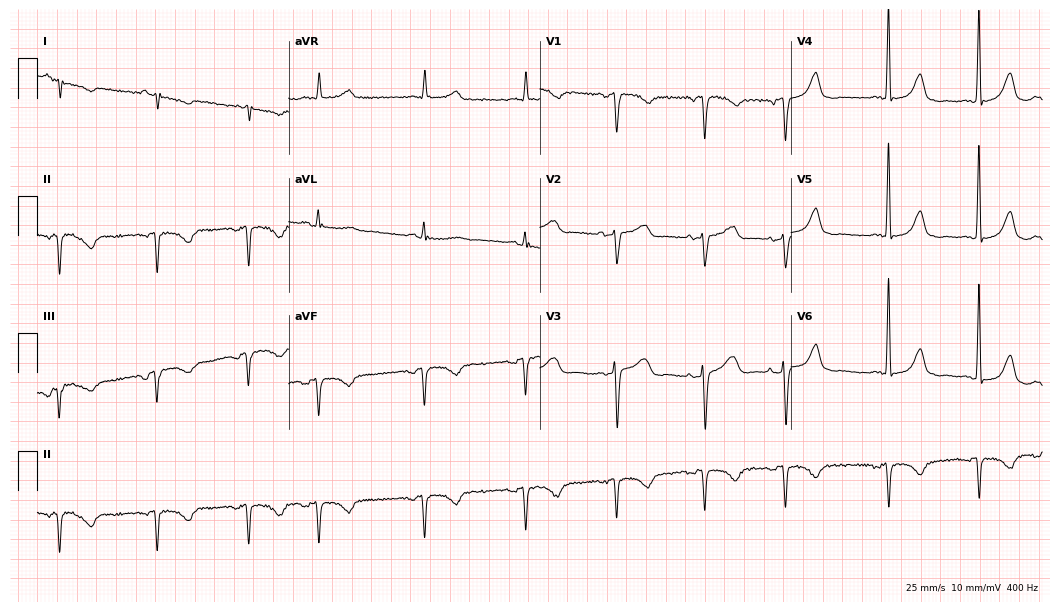
12-lead ECG from an 82-year-old woman (10.2-second recording at 400 Hz). No first-degree AV block, right bundle branch block, left bundle branch block, sinus bradycardia, atrial fibrillation or sinus tachycardia recorded for this tracing. Other findings, if any, are not listed.